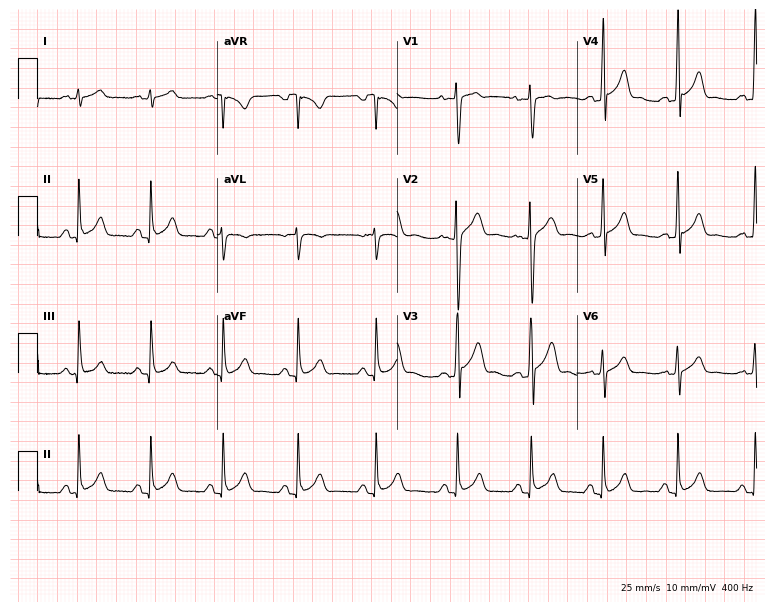
Resting 12-lead electrocardiogram. Patient: a 19-year-old male. Read as a normal ECG.